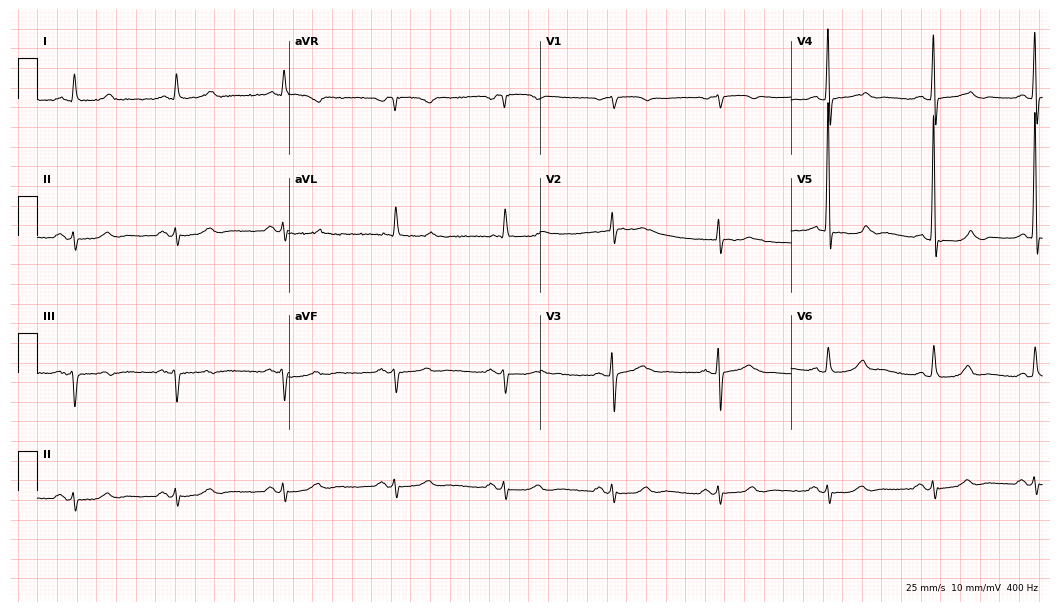
12-lead ECG from a man, 76 years old (10.2-second recording at 400 Hz). Recorded interpretation: within normal limits.